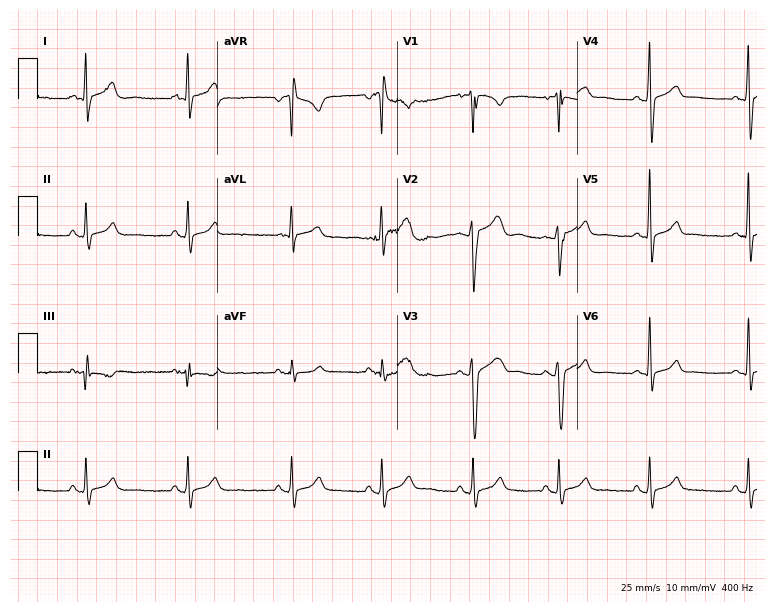
12-lead ECG from a male patient, 18 years old. Labelled as a normal ECG.